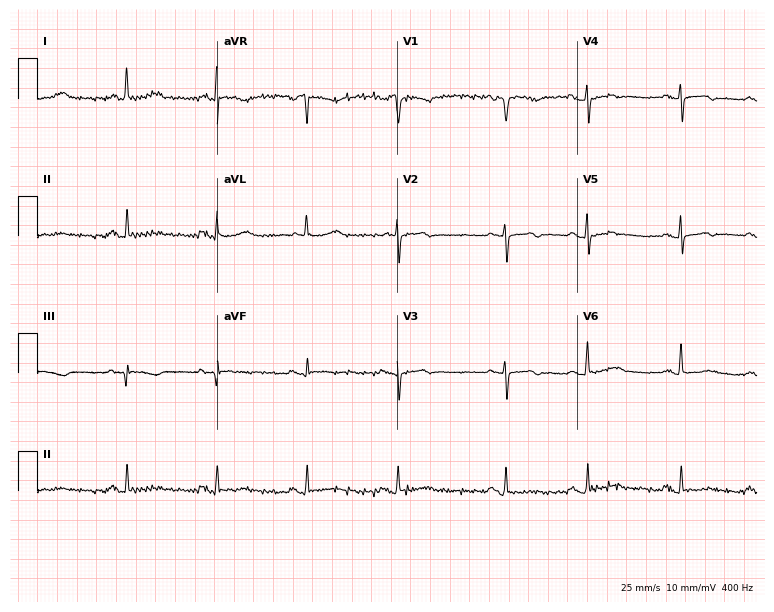
Electrocardiogram (7.3-second recording at 400 Hz), a female patient, 73 years old. Of the six screened findings (first-degree AV block, right bundle branch block (RBBB), left bundle branch block (LBBB), sinus bradycardia, atrial fibrillation (AF), sinus tachycardia), none is recorded.